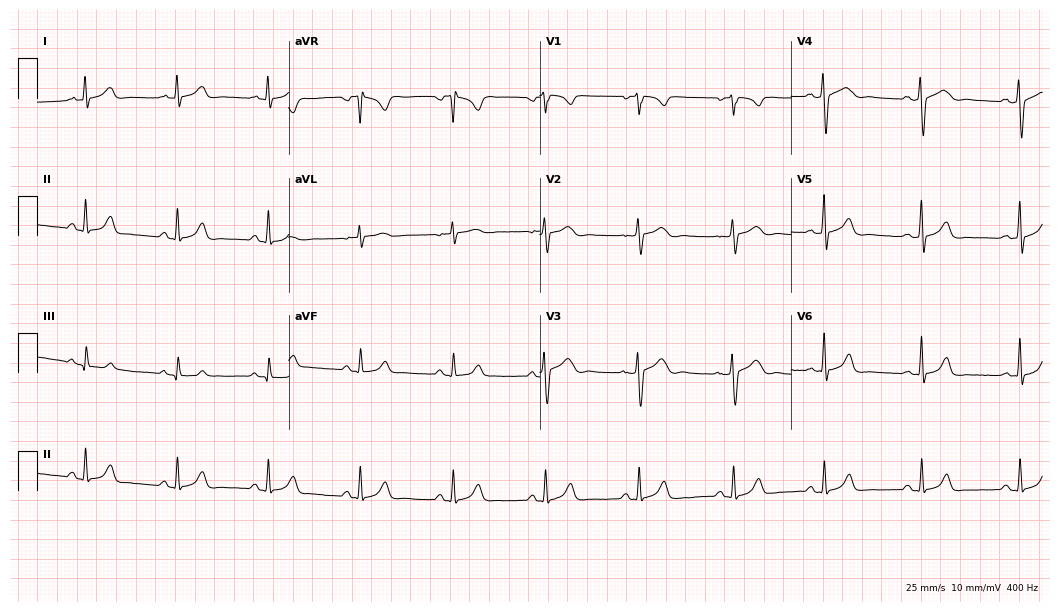
Standard 12-lead ECG recorded from a 33-year-old woman. Read as a normal ECG.